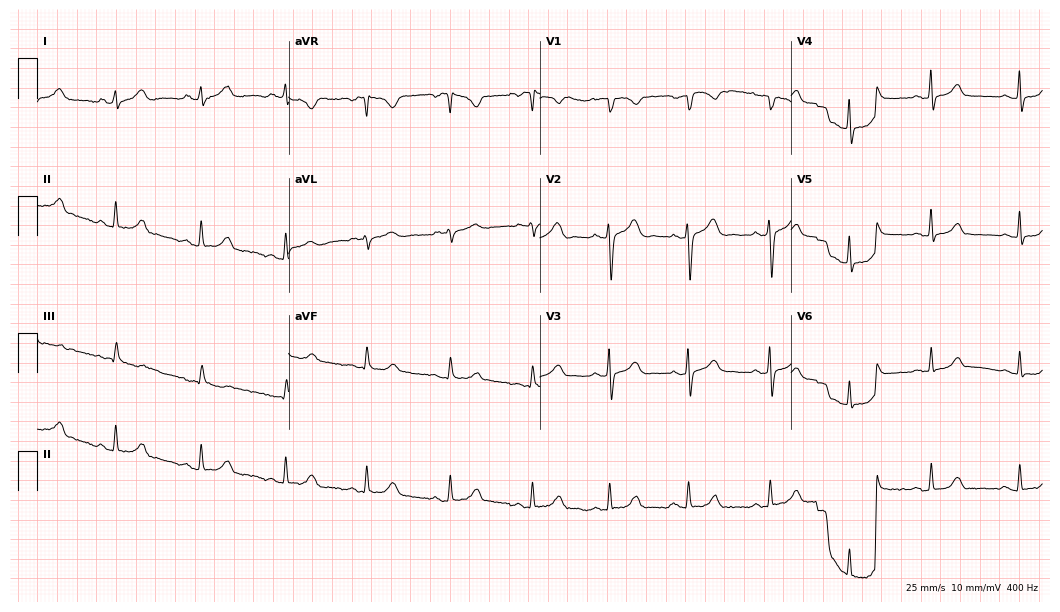
ECG — a female, 30 years old. Labelled as a normal ECG.